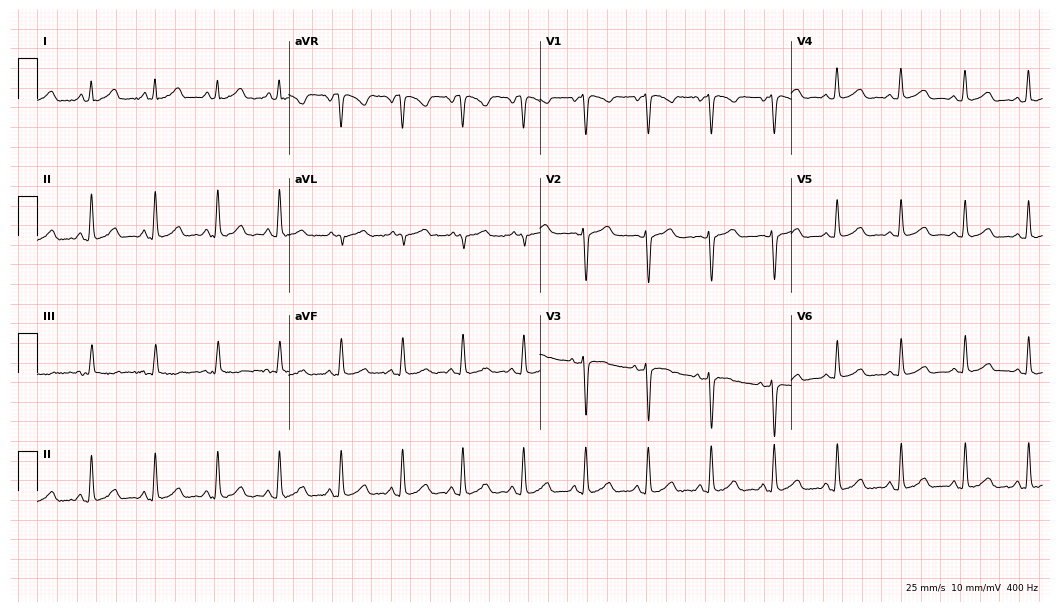
12-lead ECG from a 27-year-old woman (10.2-second recording at 400 Hz). Recorded interpretation: within normal limits.